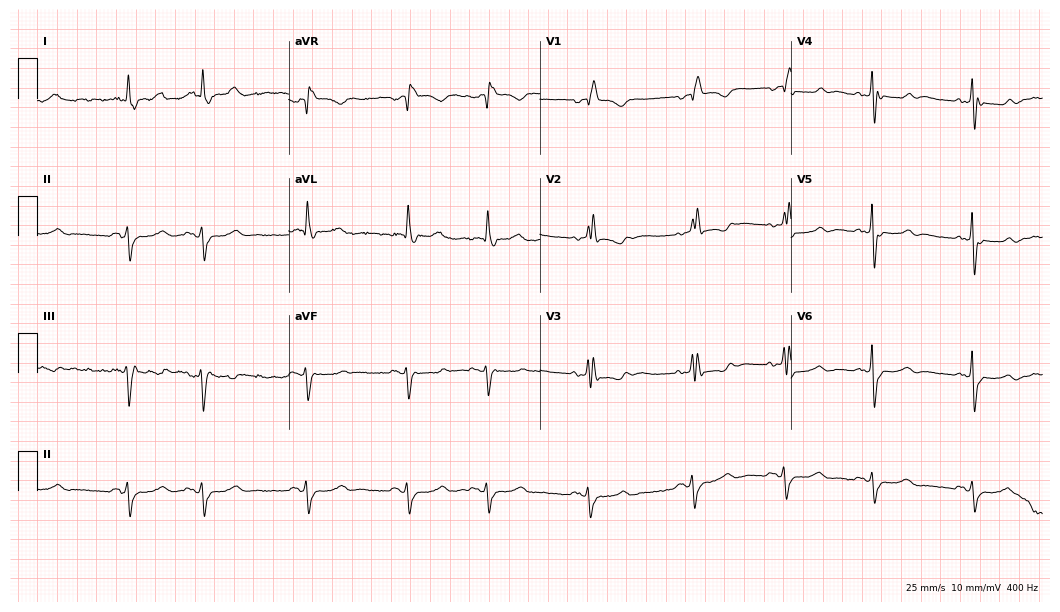
12-lead ECG (10.2-second recording at 400 Hz) from an 82-year-old female. Findings include right bundle branch block.